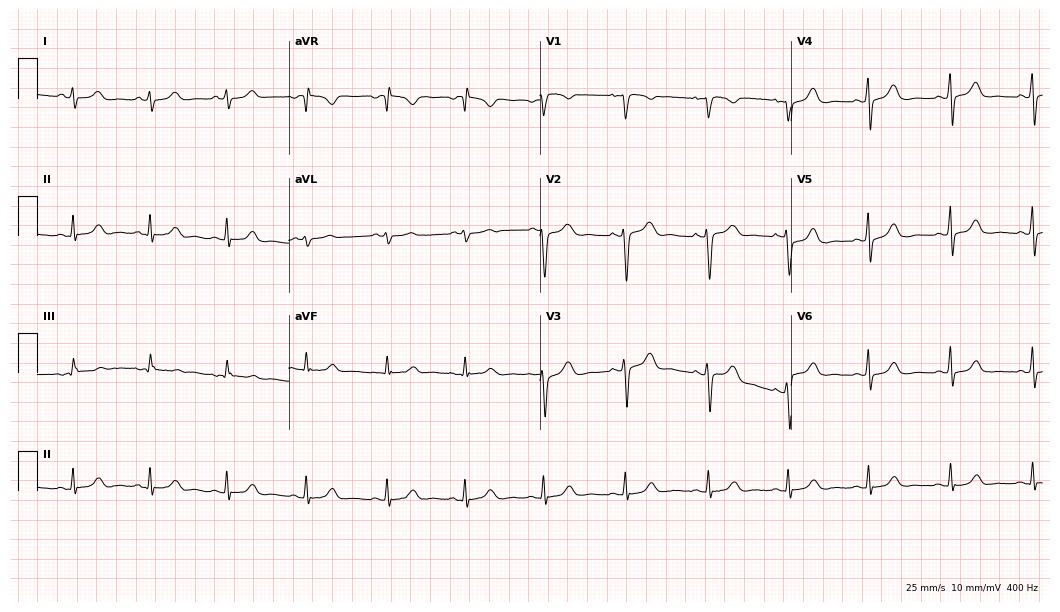
Electrocardiogram (10.2-second recording at 400 Hz), a 47-year-old female. Overall reading on record: normal ECG.